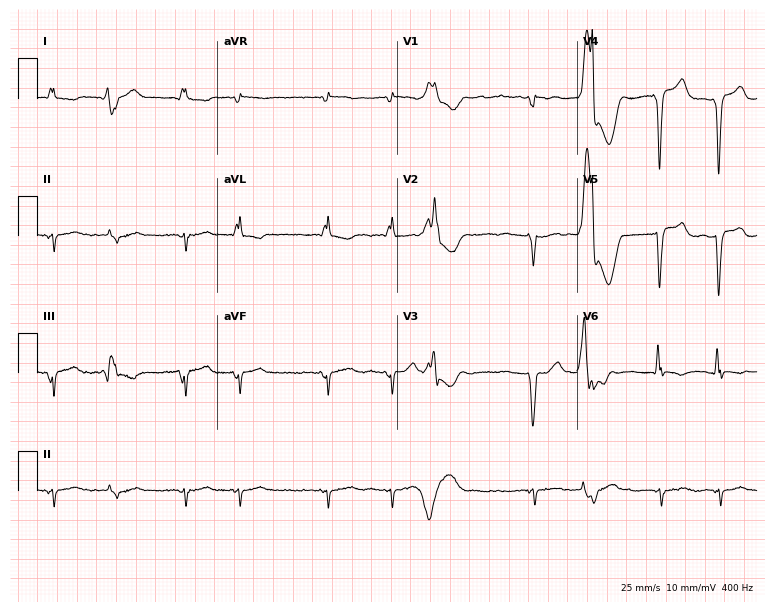
Standard 12-lead ECG recorded from a 59-year-old male (7.3-second recording at 400 Hz). None of these six findings is recorded: first-degree AV block, right bundle branch block (RBBB), left bundle branch block (LBBB), sinus bradycardia, atrial fibrillation (AF), sinus tachycardia.